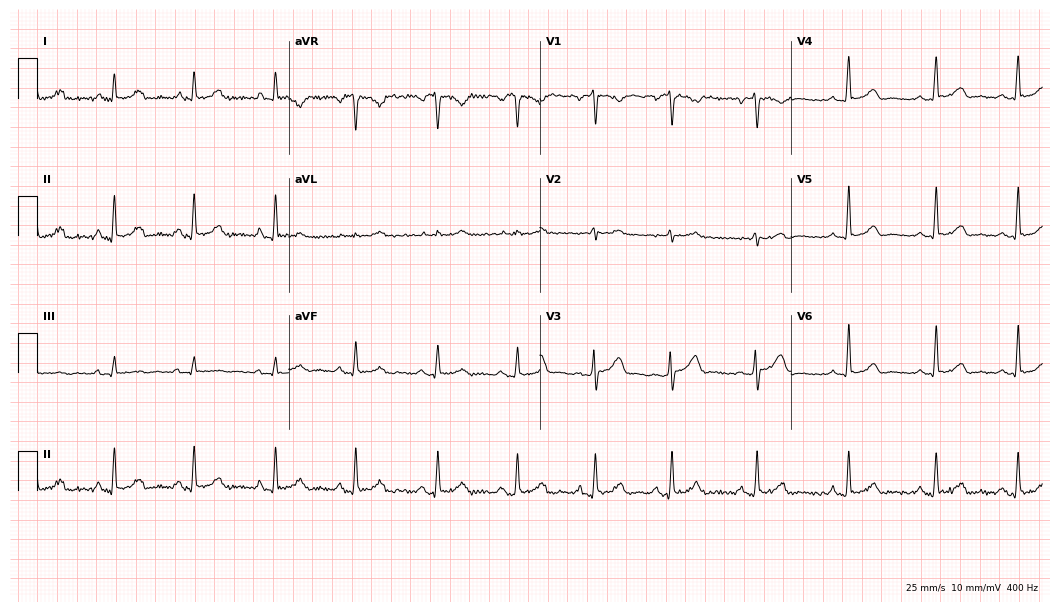
12-lead ECG from a woman, 28 years old (10.2-second recording at 400 Hz). Recorded interpretation: within normal limits.